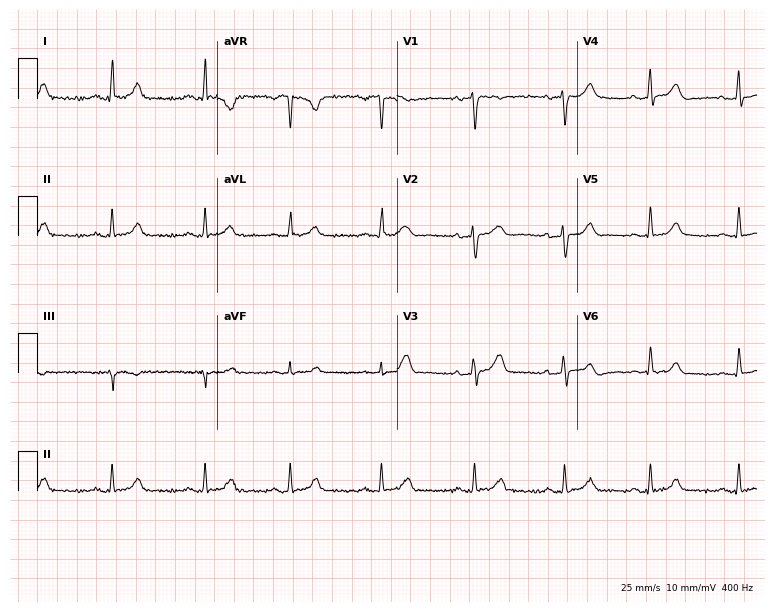
ECG (7.3-second recording at 400 Hz) — a female patient, 57 years old. Labelled as a normal ECG.